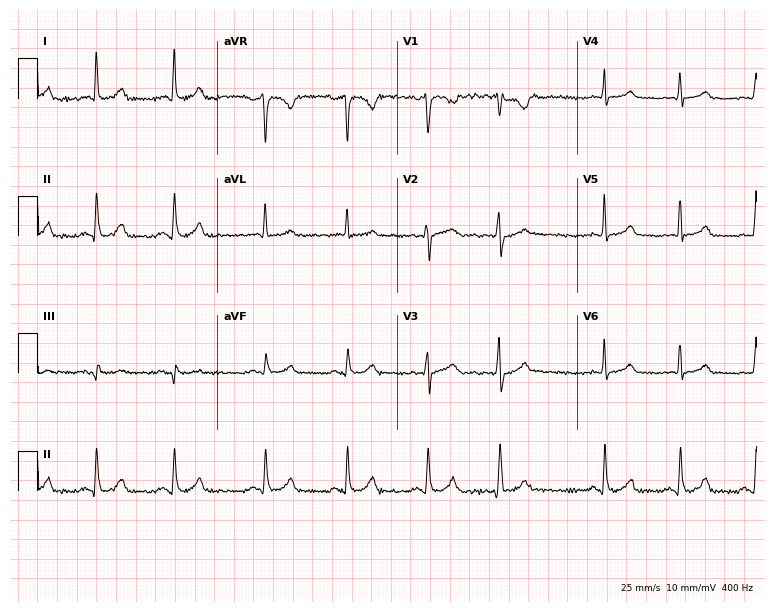
12-lead ECG from a 39-year-old female. Recorded interpretation: within normal limits.